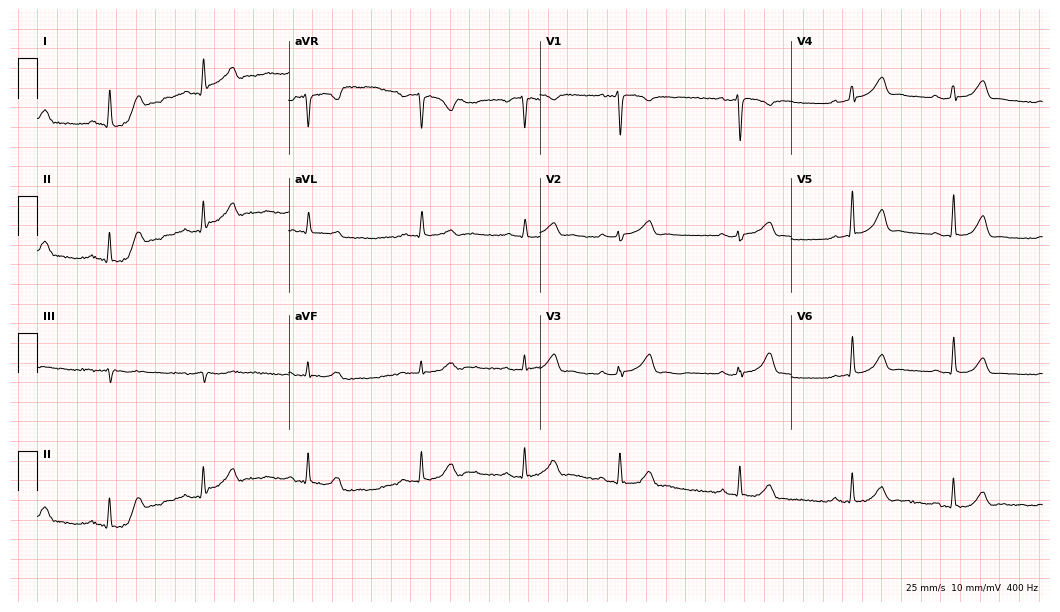
ECG — a woman, 48 years old. Screened for six findings — first-degree AV block, right bundle branch block, left bundle branch block, sinus bradycardia, atrial fibrillation, sinus tachycardia — none is recorded.